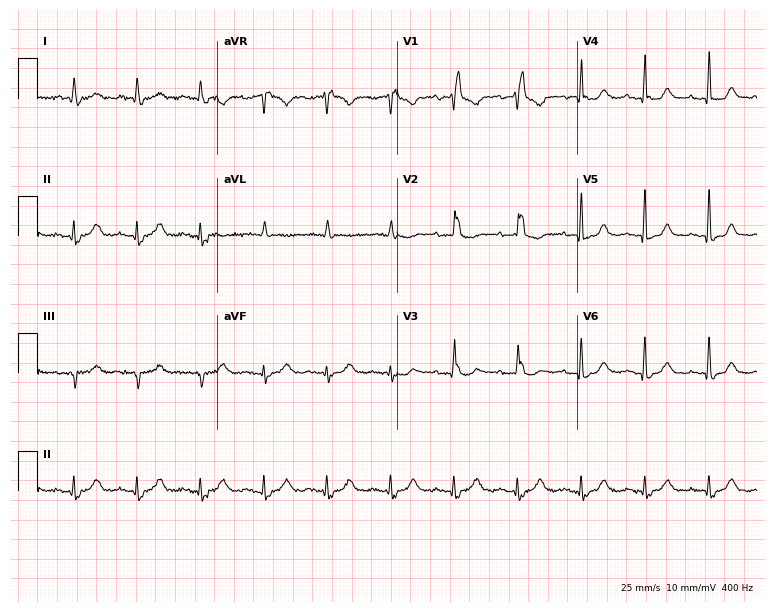
12-lead ECG from a male, 77 years old (7.3-second recording at 400 Hz). Shows right bundle branch block (RBBB).